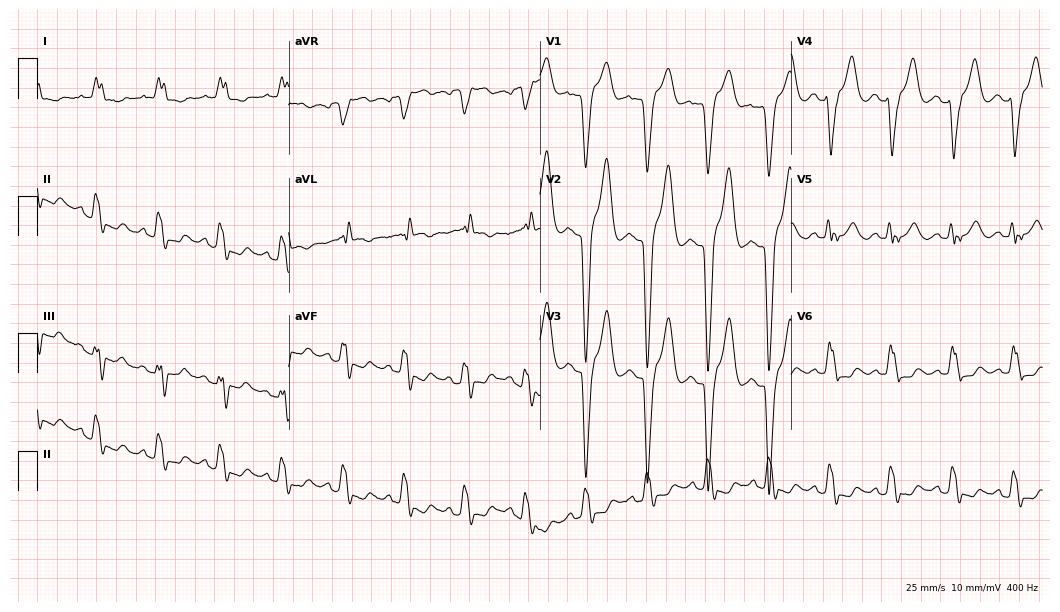
12-lead ECG (10.2-second recording at 400 Hz) from an 85-year-old female patient. Findings include left bundle branch block.